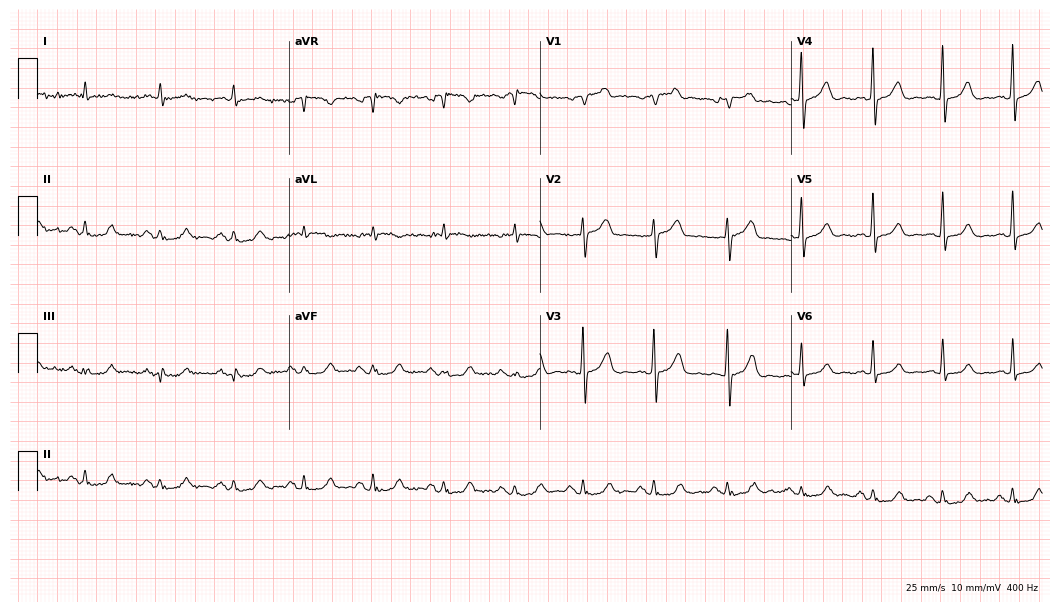
Standard 12-lead ECG recorded from a man, 68 years old (10.2-second recording at 400 Hz). None of these six findings is recorded: first-degree AV block, right bundle branch block, left bundle branch block, sinus bradycardia, atrial fibrillation, sinus tachycardia. Only these six findings were labelled.